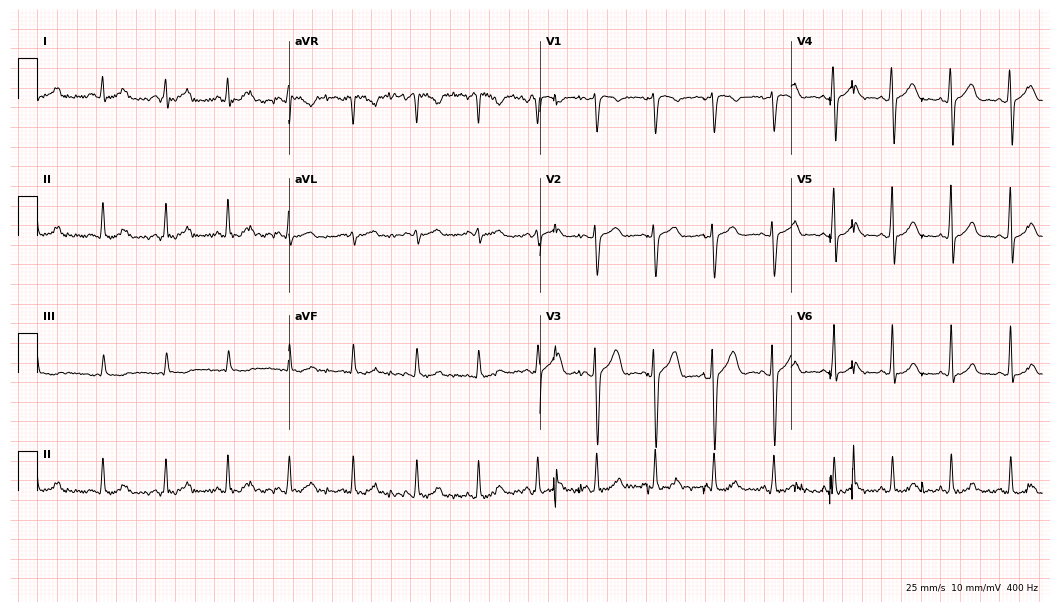
Electrocardiogram, a woman, 20 years old. Overall reading on record: normal ECG.